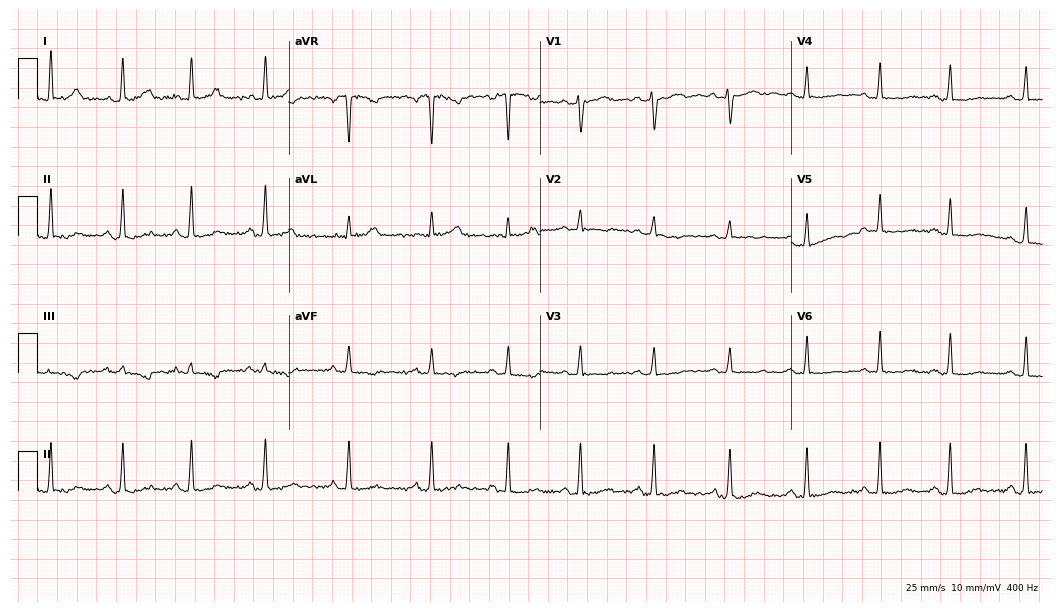
12-lead ECG (10.2-second recording at 400 Hz) from a 30-year-old female. Screened for six findings — first-degree AV block, right bundle branch block, left bundle branch block, sinus bradycardia, atrial fibrillation, sinus tachycardia — none is recorded. Other findings, if any, are not listed.